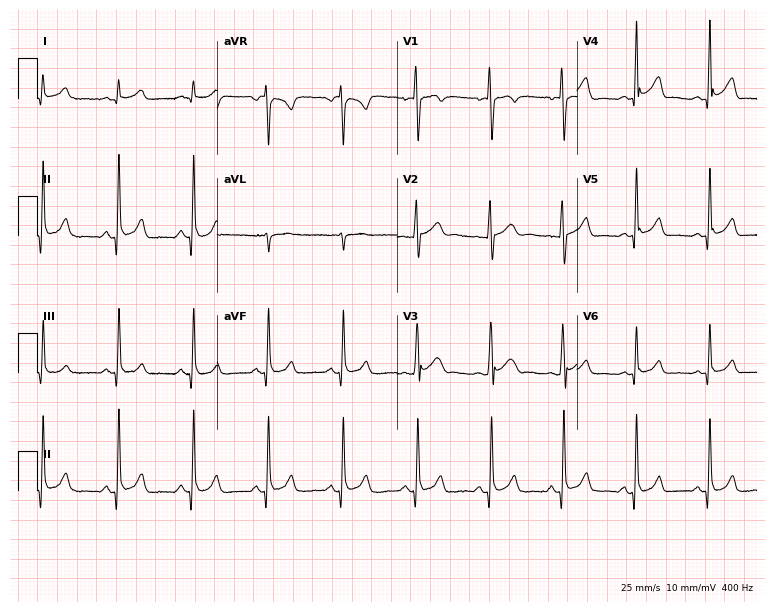
Standard 12-lead ECG recorded from a male patient, 47 years old (7.3-second recording at 400 Hz). None of these six findings is recorded: first-degree AV block, right bundle branch block, left bundle branch block, sinus bradycardia, atrial fibrillation, sinus tachycardia.